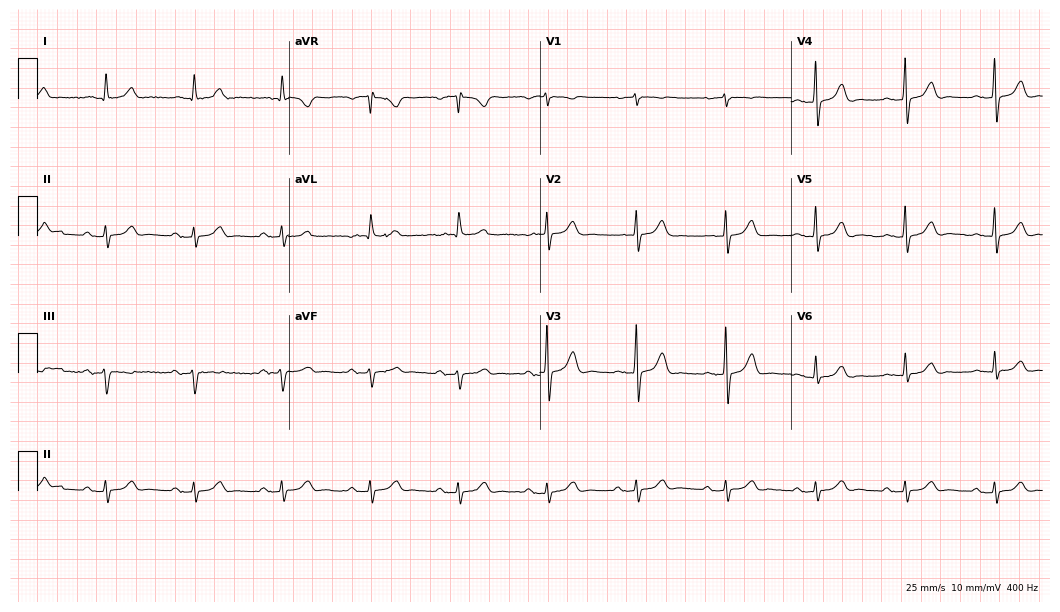
12-lead ECG from an 80-year-old man (10.2-second recording at 400 Hz). Recorded interpretation: within normal limits.